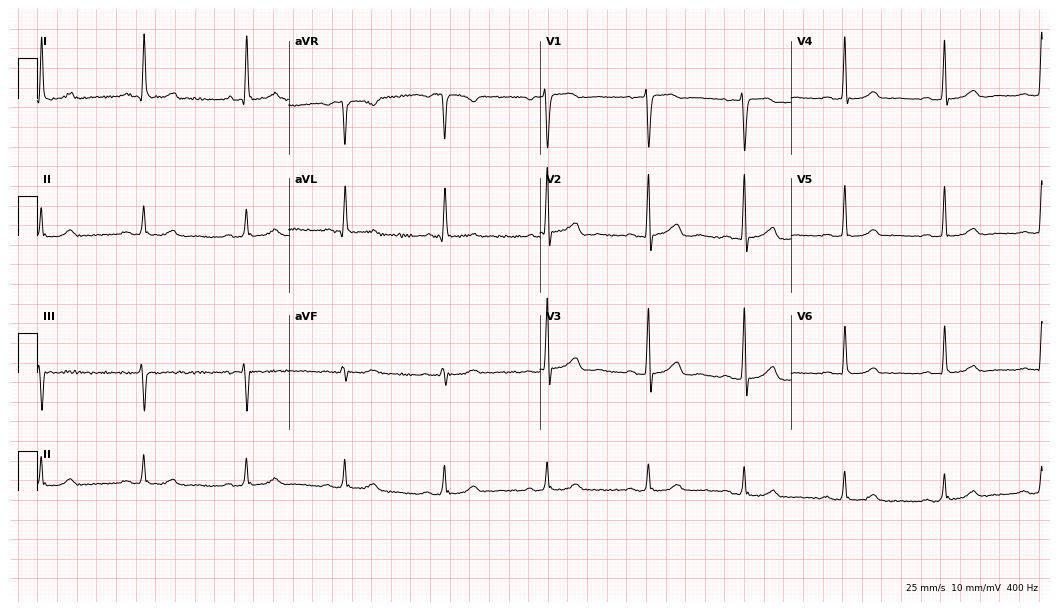
Electrocardiogram (10.2-second recording at 400 Hz), a 64-year-old woman. Overall reading on record: normal ECG.